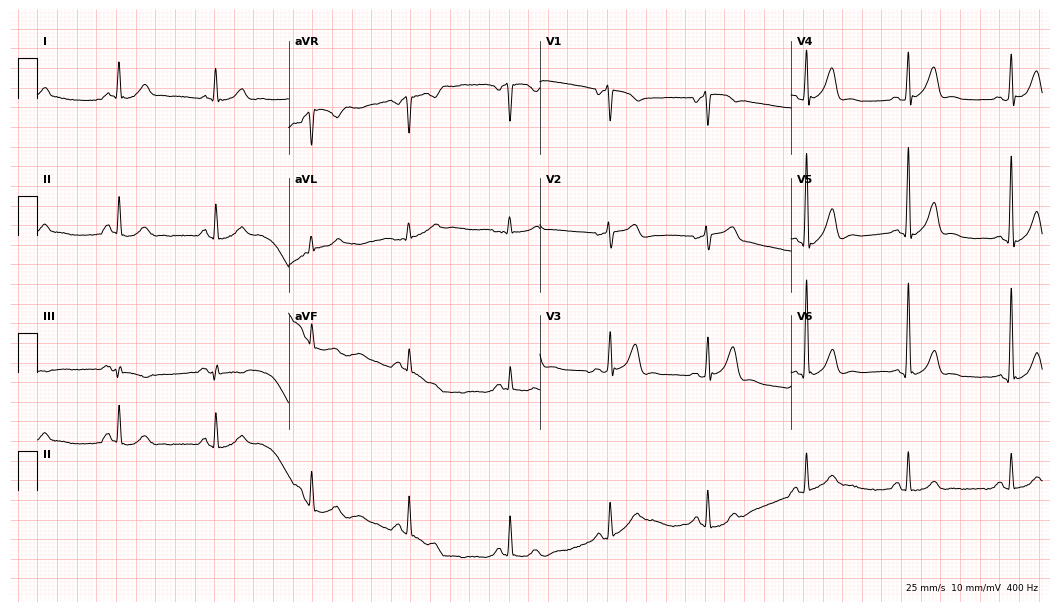
Resting 12-lead electrocardiogram (10.2-second recording at 400 Hz). Patient: a 69-year-old male. Read as a normal ECG.